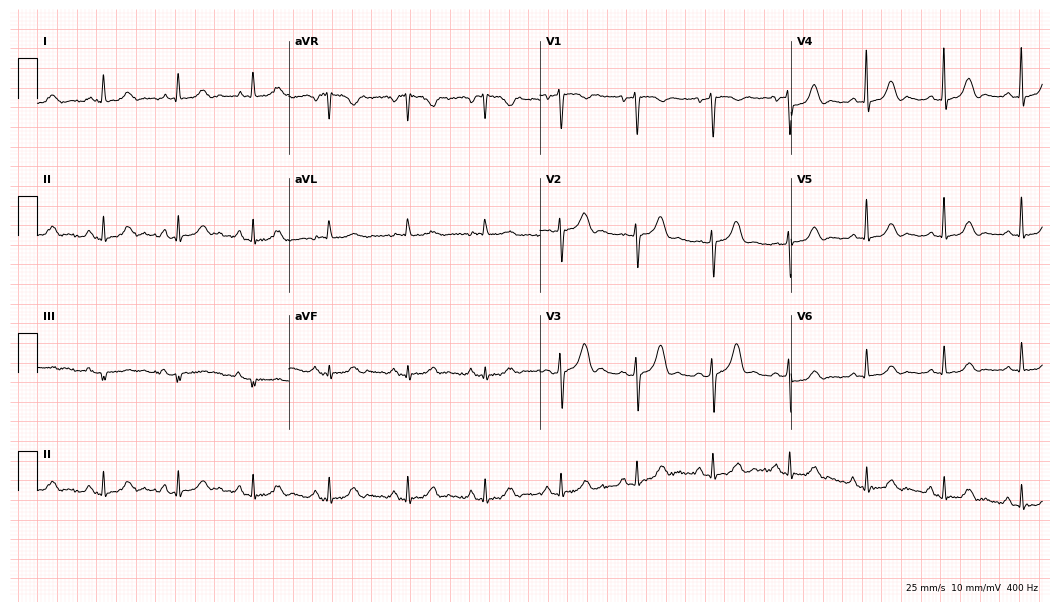
12-lead ECG from a woman, 58 years old (10.2-second recording at 400 Hz). No first-degree AV block, right bundle branch block (RBBB), left bundle branch block (LBBB), sinus bradycardia, atrial fibrillation (AF) or sinus tachycardia recorded for this tracing.